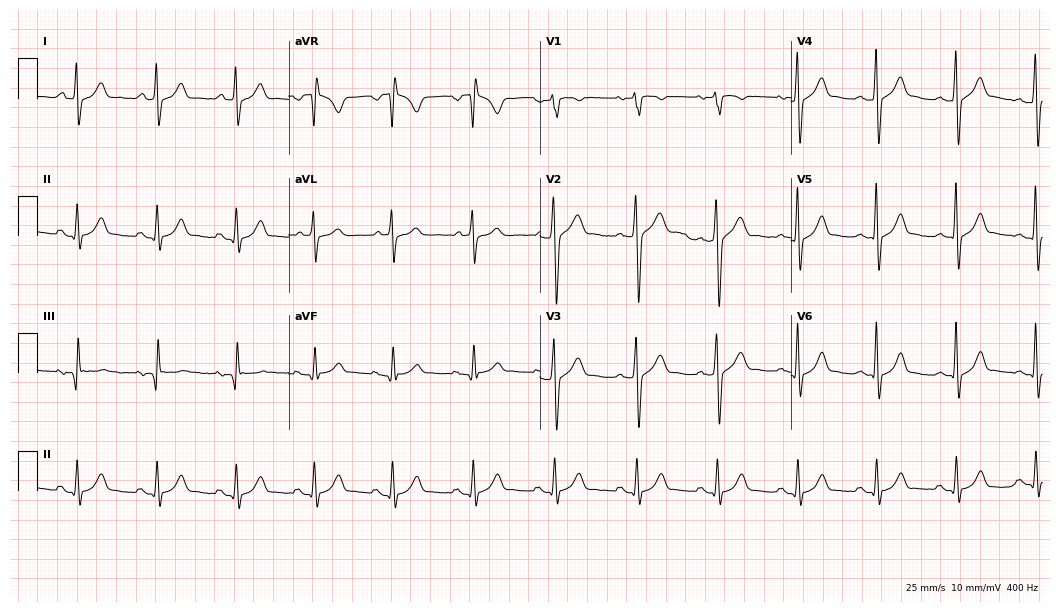
Standard 12-lead ECG recorded from a man, 21 years old (10.2-second recording at 400 Hz). None of these six findings is recorded: first-degree AV block, right bundle branch block, left bundle branch block, sinus bradycardia, atrial fibrillation, sinus tachycardia. Other findings, if any, are not listed.